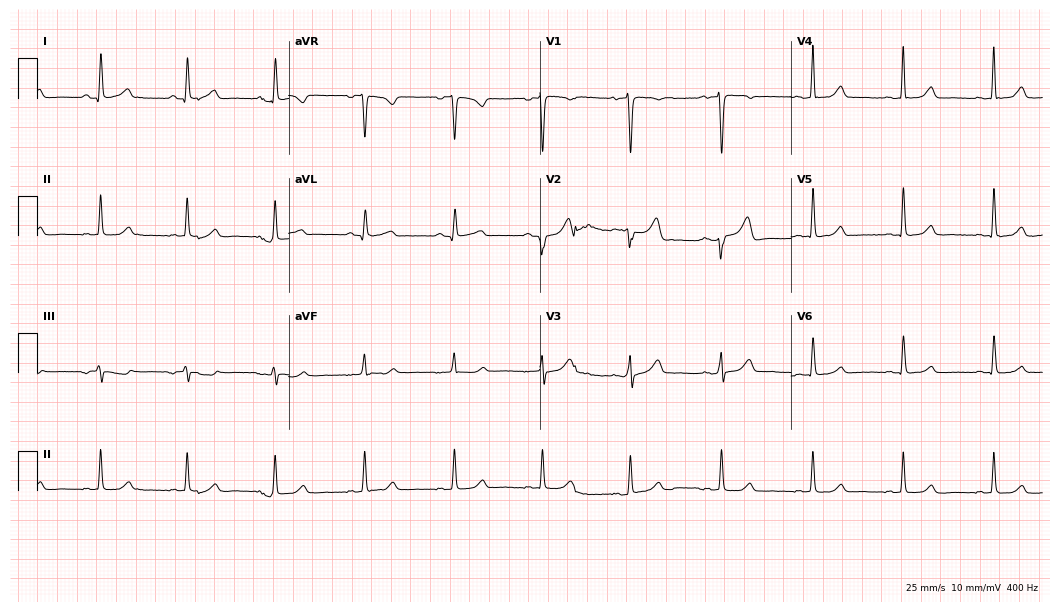
Electrocardiogram (10.2-second recording at 400 Hz), a 39-year-old female patient. Of the six screened findings (first-degree AV block, right bundle branch block (RBBB), left bundle branch block (LBBB), sinus bradycardia, atrial fibrillation (AF), sinus tachycardia), none is recorded.